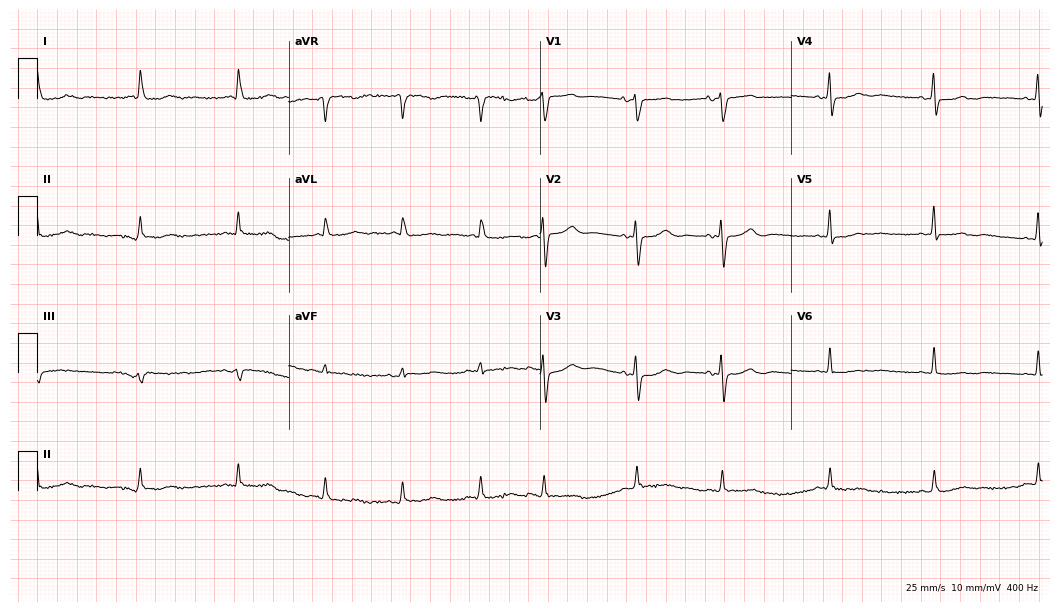
Resting 12-lead electrocardiogram (10.2-second recording at 400 Hz). Patient: a male, 78 years old. None of these six findings is recorded: first-degree AV block, right bundle branch block, left bundle branch block, sinus bradycardia, atrial fibrillation, sinus tachycardia.